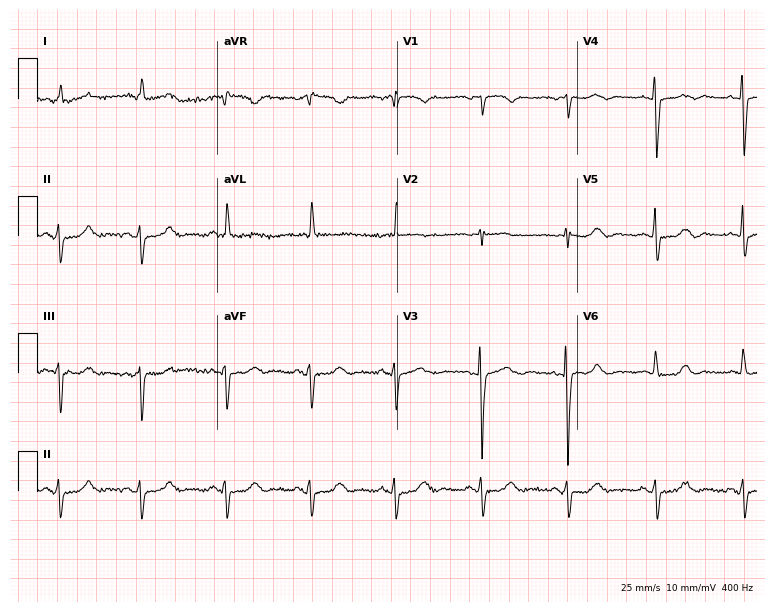
12-lead ECG (7.3-second recording at 400 Hz) from a woman, 84 years old. Screened for six findings — first-degree AV block, right bundle branch block, left bundle branch block, sinus bradycardia, atrial fibrillation, sinus tachycardia — none is recorded. Only these six findings were labelled.